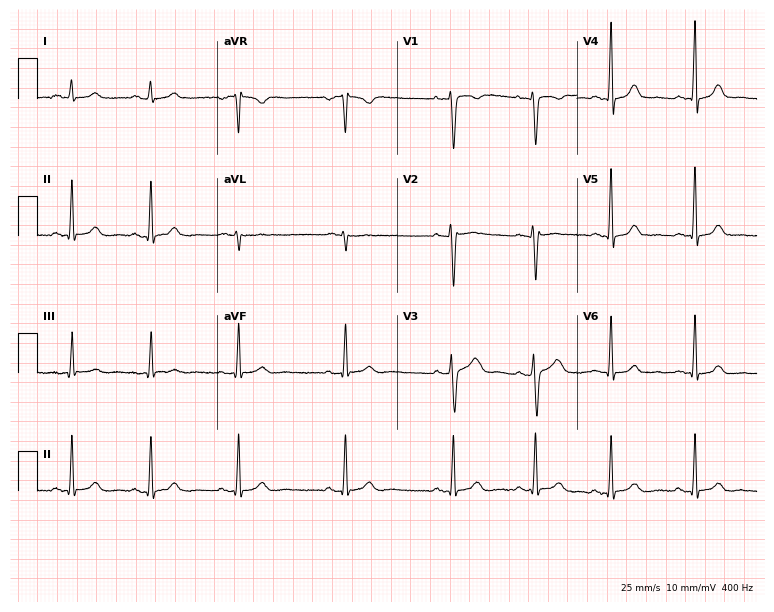
Electrocardiogram, a woman, 22 years old. Overall reading on record: normal ECG.